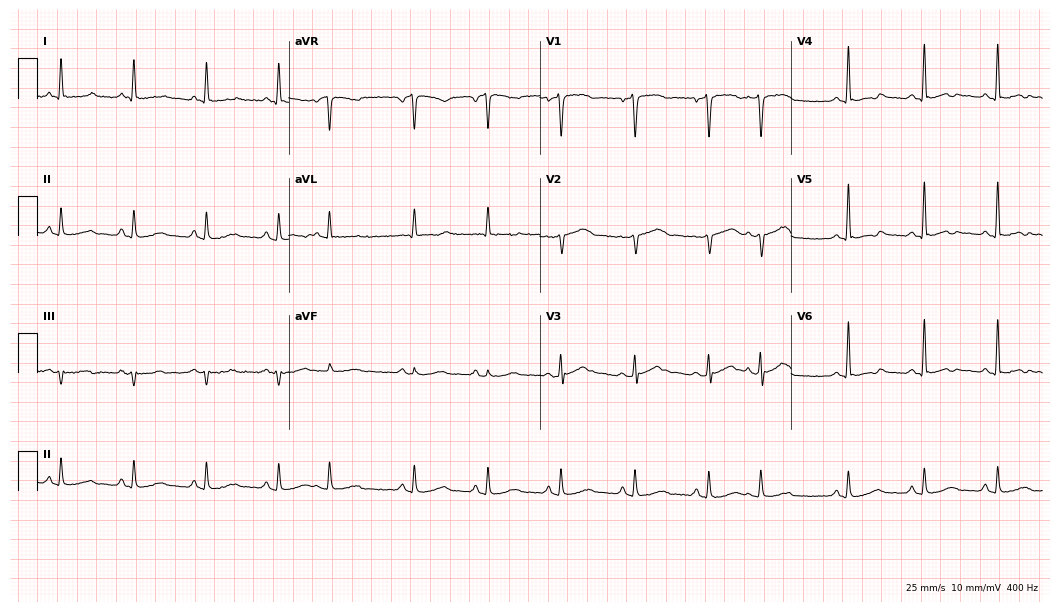
12-lead ECG from a 67-year-old female. Screened for six findings — first-degree AV block, right bundle branch block, left bundle branch block, sinus bradycardia, atrial fibrillation, sinus tachycardia — none is recorded. Findings outside these six are not listed.